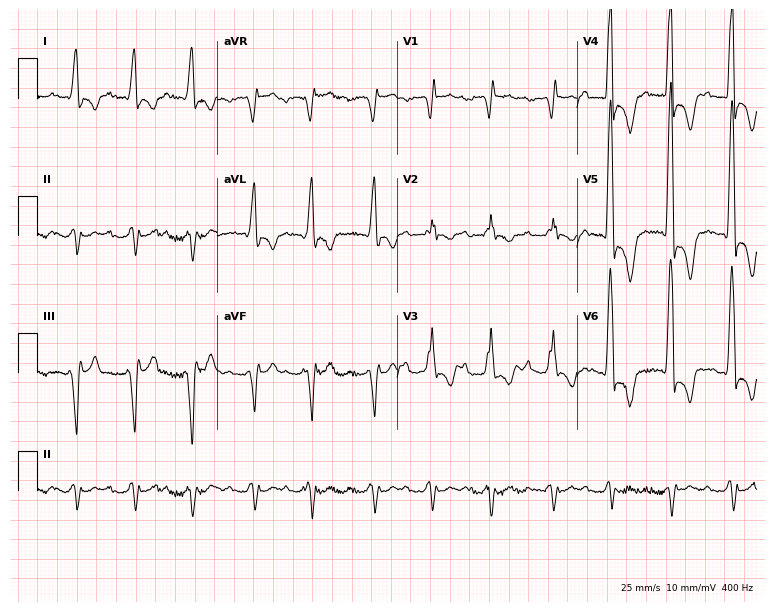
Resting 12-lead electrocardiogram. Patient: a 60-year-old woman. None of these six findings is recorded: first-degree AV block, right bundle branch block, left bundle branch block, sinus bradycardia, atrial fibrillation, sinus tachycardia.